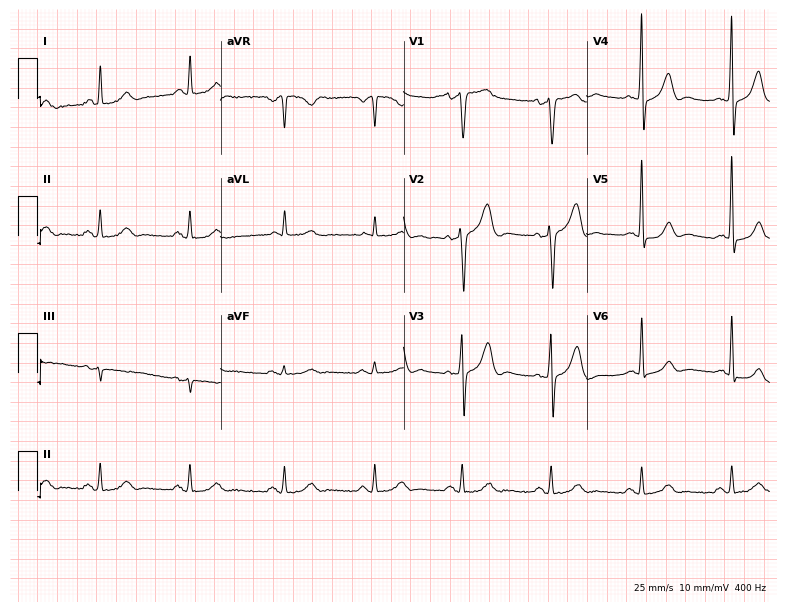
Electrocardiogram, a 62-year-old male. Overall reading on record: normal ECG.